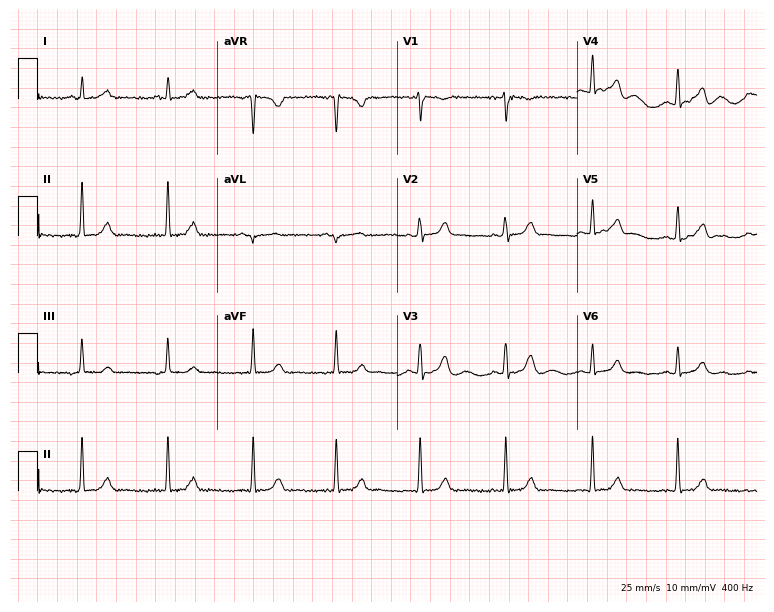
Electrocardiogram, a 29-year-old female patient. Of the six screened findings (first-degree AV block, right bundle branch block, left bundle branch block, sinus bradycardia, atrial fibrillation, sinus tachycardia), none is recorded. Only these six findings were labelled.